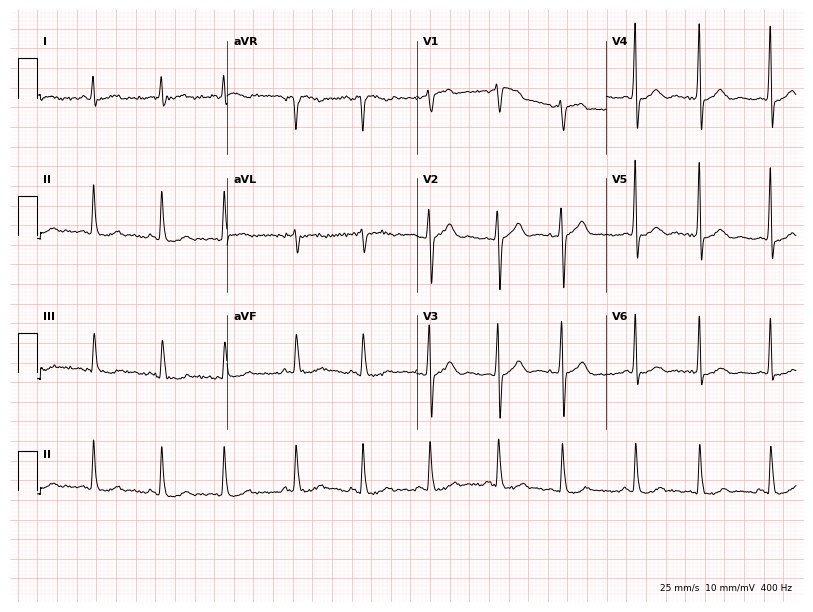
ECG (7.7-second recording at 400 Hz) — a 70-year-old woman. Labelled as a normal ECG.